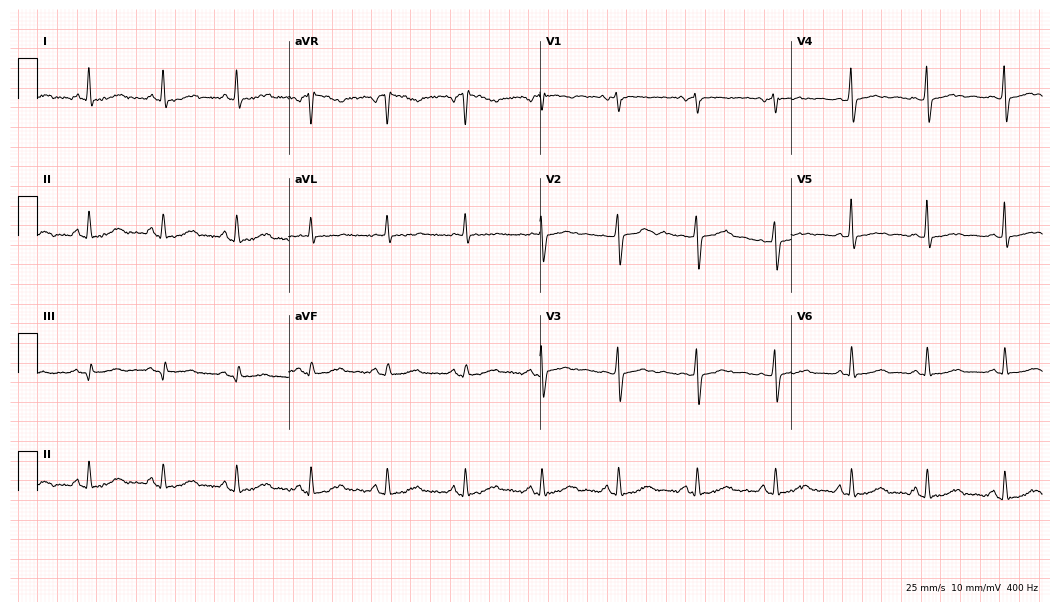
12-lead ECG (10.2-second recording at 400 Hz) from a female, 60 years old. Screened for six findings — first-degree AV block, right bundle branch block, left bundle branch block, sinus bradycardia, atrial fibrillation, sinus tachycardia — none is recorded. Findings outside these six are not listed.